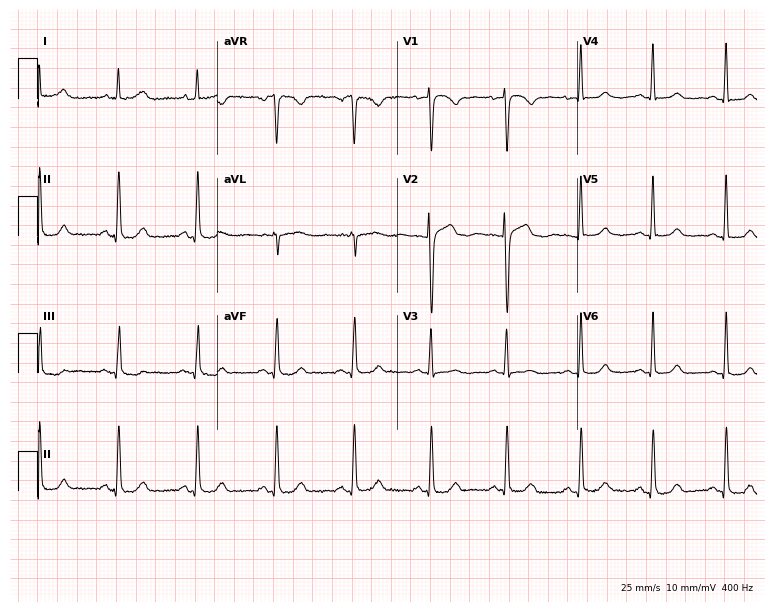
12-lead ECG (7.3-second recording at 400 Hz) from a female patient, 46 years old. Screened for six findings — first-degree AV block, right bundle branch block (RBBB), left bundle branch block (LBBB), sinus bradycardia, atrial fibrillation (AF), sinus tachycardia — none is recorded. Other findings, if any, are not listed.